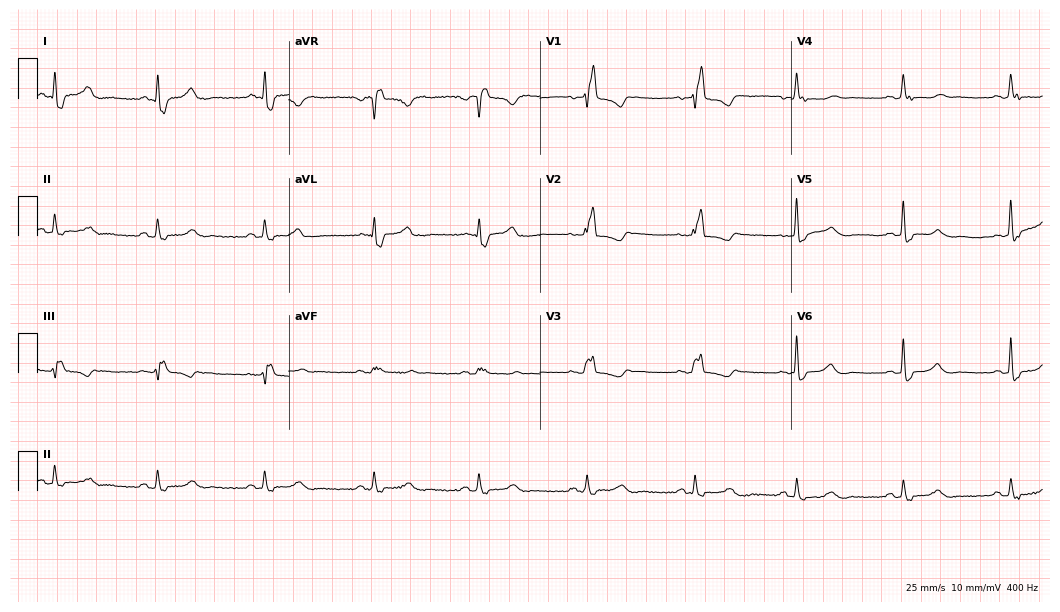
12-lead ECG from a woman, 81 years old. Findings include right bundle branch block.